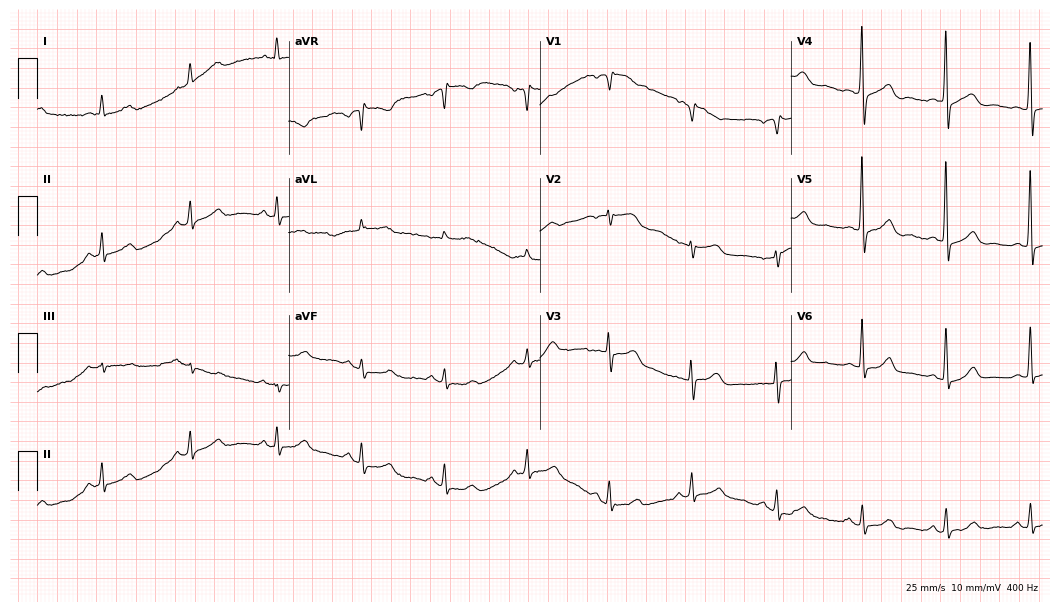
12-lead ECG from a 70-year-old female (10.2-second recording at 400 Hz). Recorded interpretation: within normal limits.